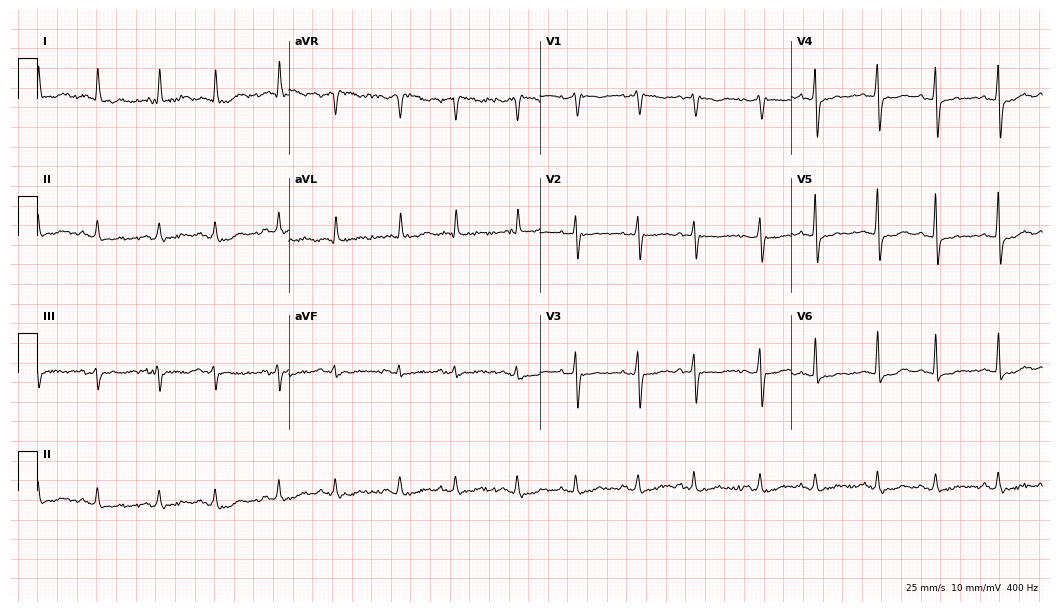
12-lead ECG from an 81-year-old female (10.2-second recording at 400 Hz). No first-degree AV block, right bundle branch block, left bundle branch block, sinus bradycardia, atrial fibrillation or sinus tachycardia recorded for this tracing.